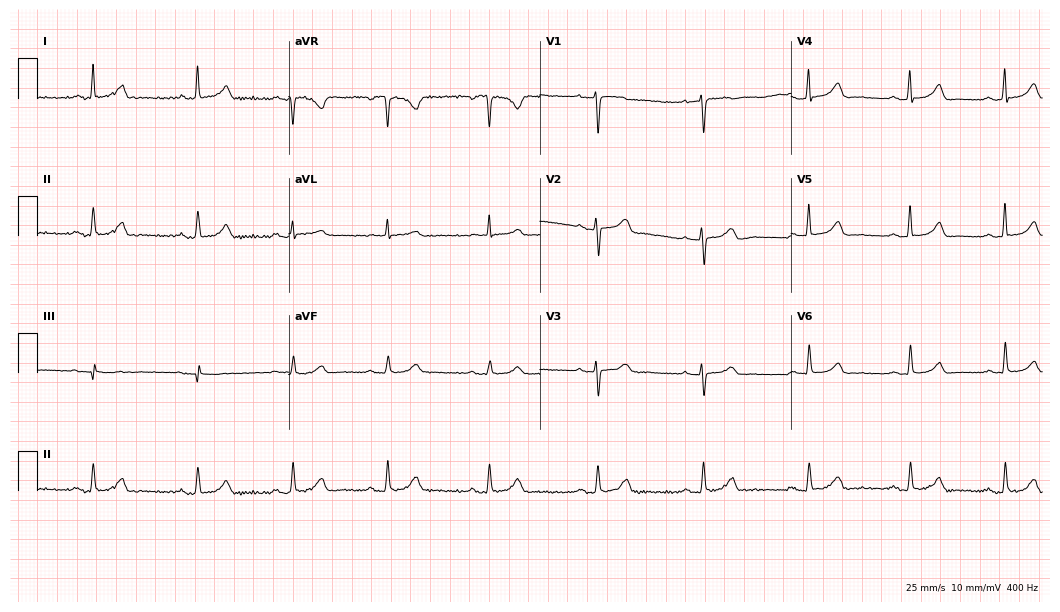
Resting 12-lead electrocardiogram. Patient: a 57-year-old woman. Read as a normal ECG.